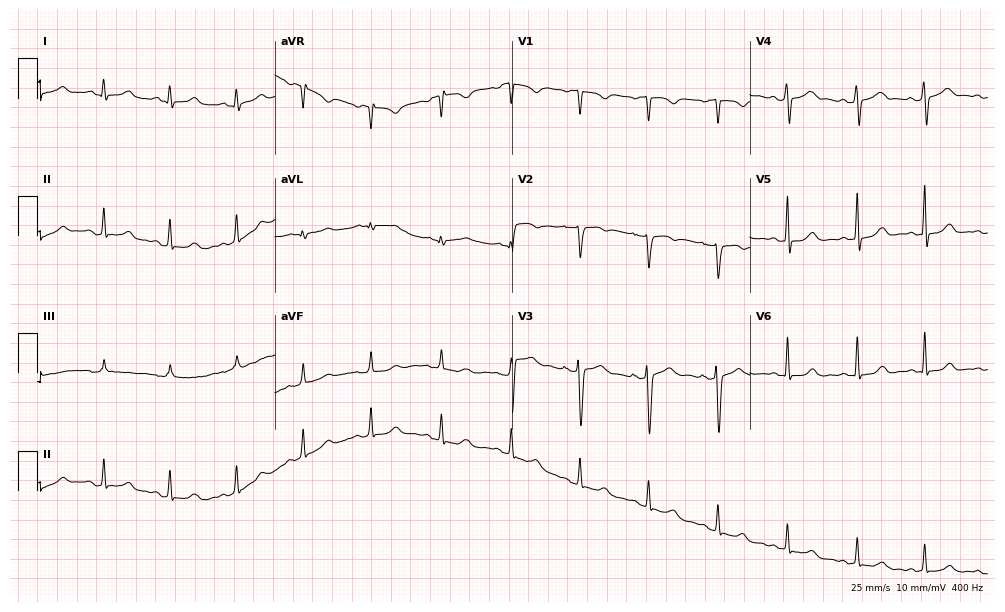
Standard 12-lead ECG recorded from a 30-year-old woman. Read as a normal ECG.